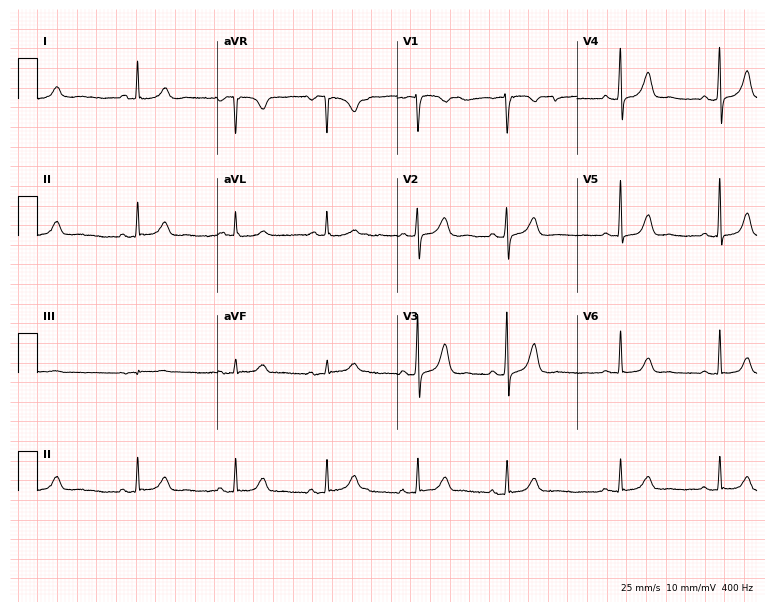
12-lead ECG (7.3-second recording at 400 Hz) from a 68-year-old female. Screened for six findings — first-degree AV block, right bundle branch block (RBBB), left bundle branch block (LBBB), sinus bradycardia, atrial fibrillation (AF), sinus tachycardia — none is recorded. Findings outside these six are not listed.